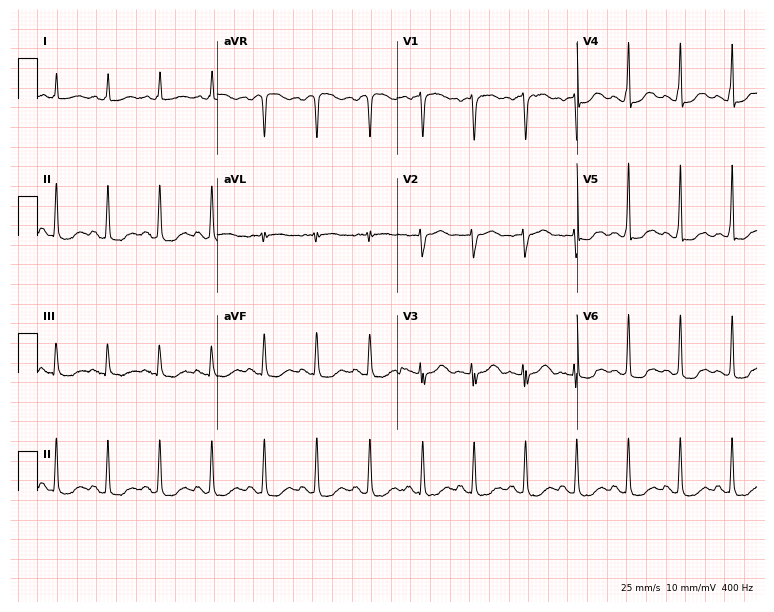
Resting 12-lead electrocardiogram. Patient: a female, 68 years old. None of these six findings is recorded: first-degree AV block, right bundle branch block, left bundle branch block, sinus bradycardia, atrial fibrillation, sinus tachycardia. Findings outside these six are not listed.